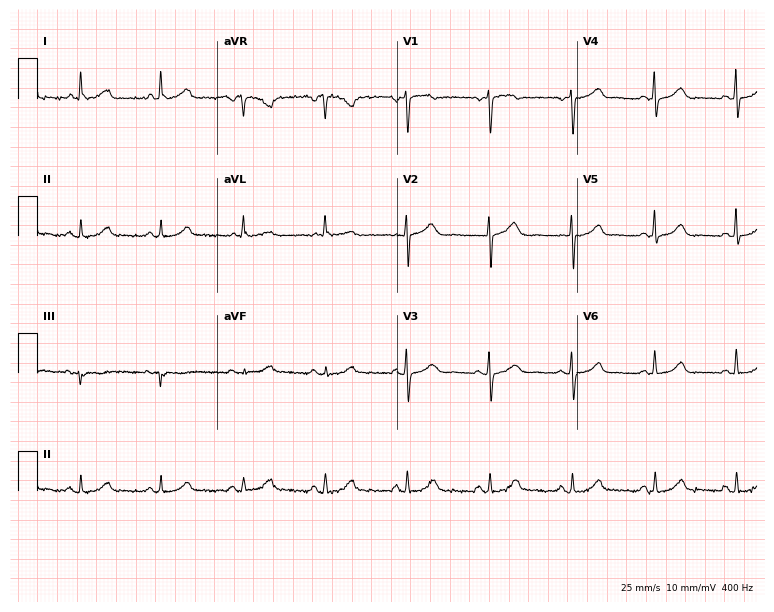
12-lead ECG from a female patient, 56 years old. Recorded interpretation: within normal limits.